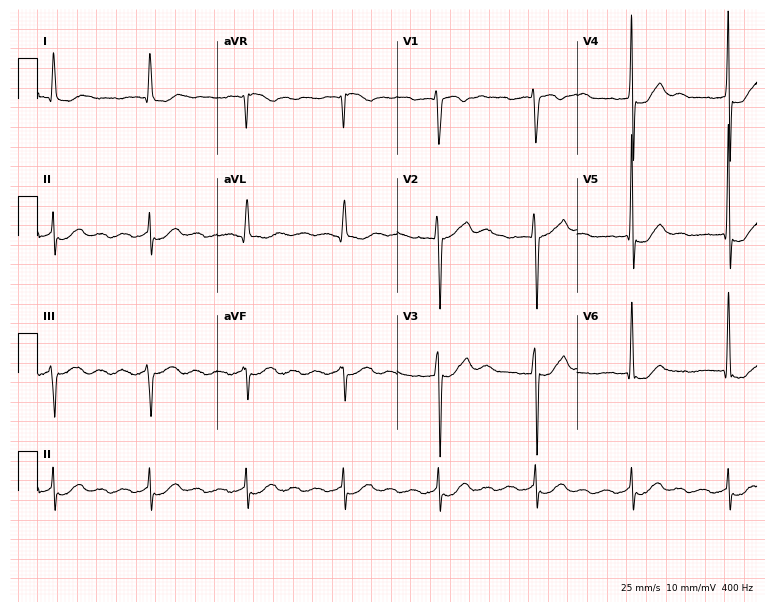
12-lead ECG (7.3-second recording at 400 Hz) from a 66-year-old female patient. Findings include first-degree AV block.